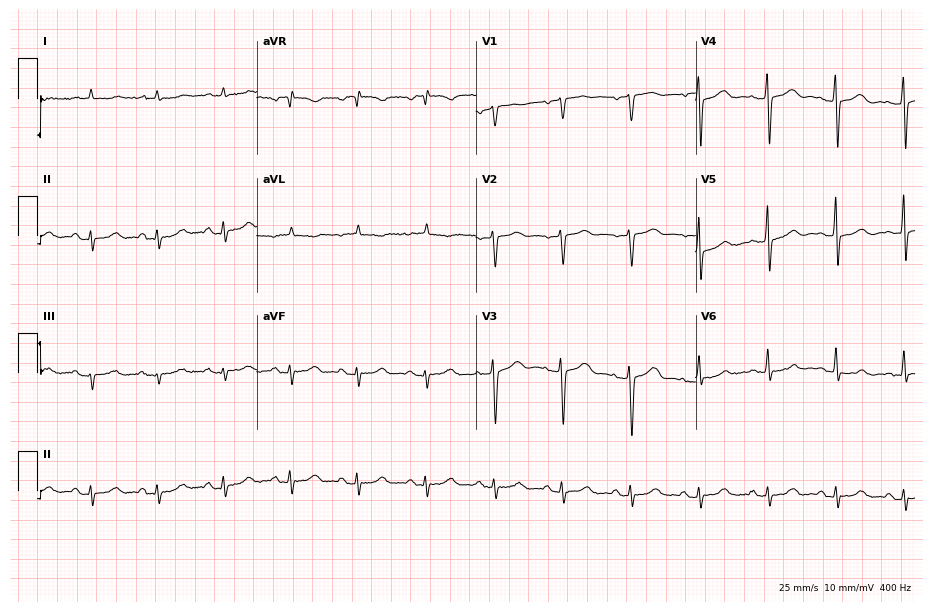
ECG (8.9-second recording at 400 Hz) — a 71-year-old female. Screened for six findings — first-degree AV block, right bundle branch block (RBBB), left bundle branch block (LBBB), sinus bradycardia, atrial fibrillation (AF), sinus tachycardia — none is recorded.